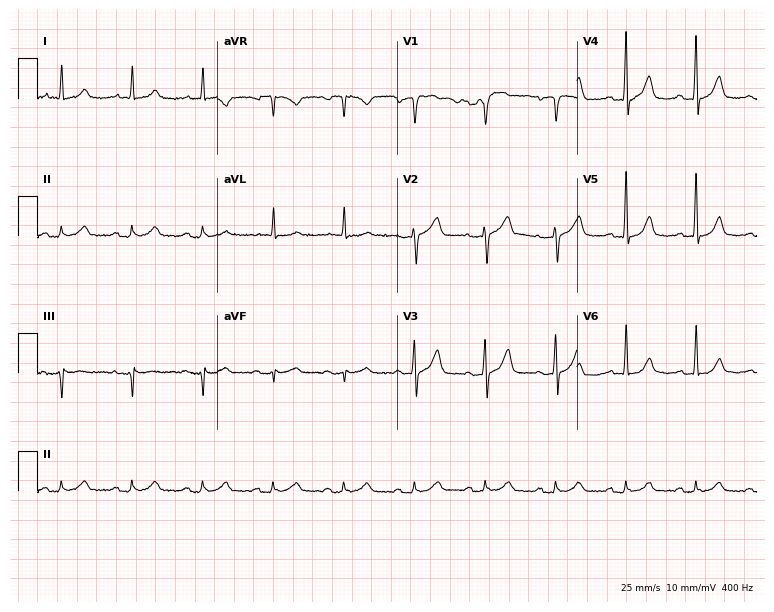
Electrocardiogram, a 74-year-old male patient. Of the six screened findings (first-degree AV block, right bundle branch block (RBBB), left bundle branch block (LBBB), sinus bradycardia, atrial fibrillation (AF), sinus tachycardia), none is recorded.